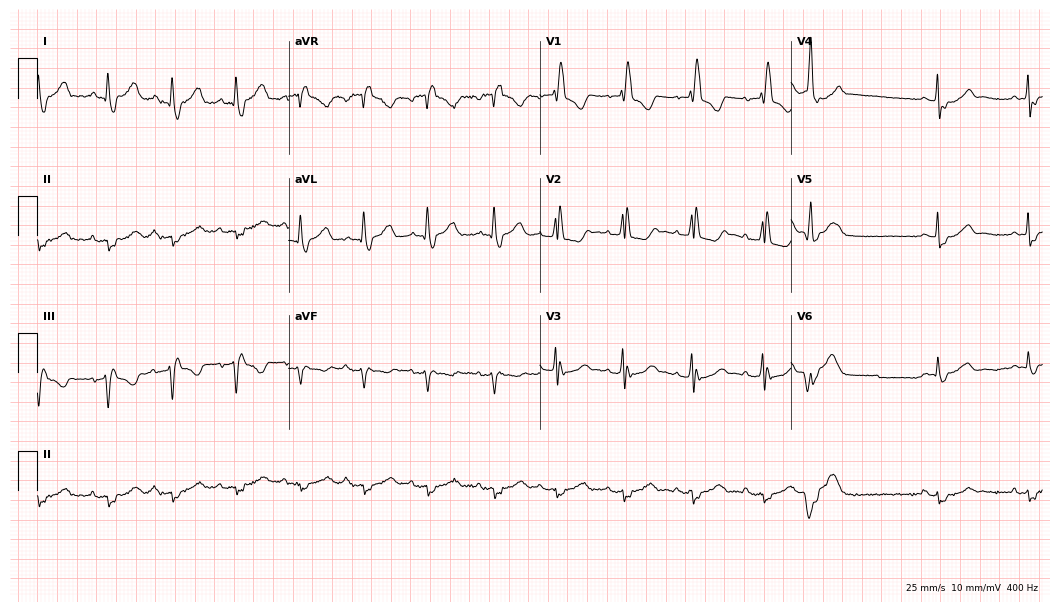
Standard 12-lead ECG recorded from a woman, 72 years old. The tracing shows right bundle branch block.